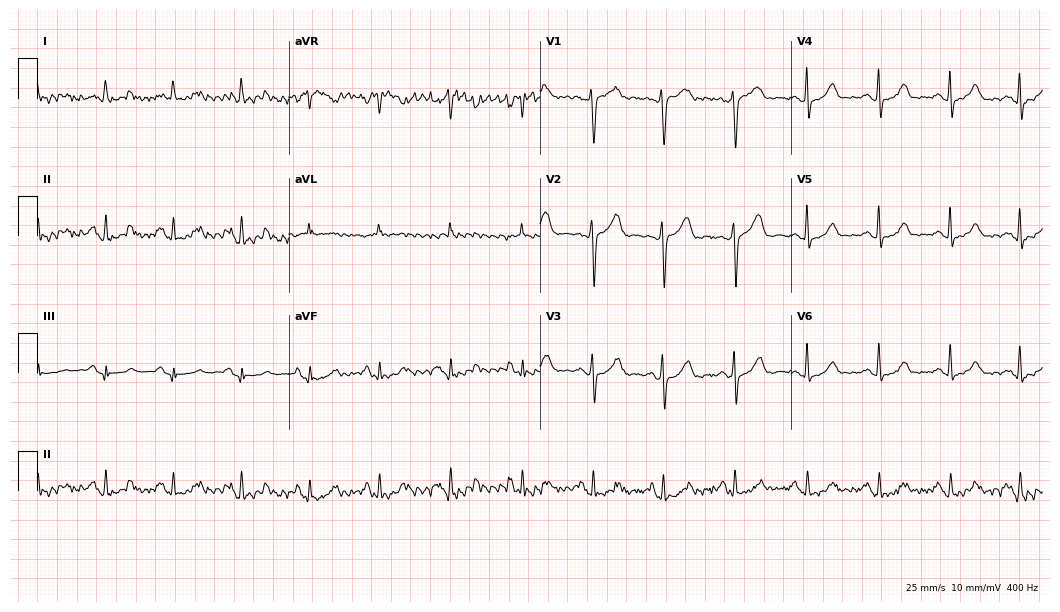
Standard 12-lead ECG recorded from a 47-year-old woman (10.2-second recording at 400 Hz). None of these six findings is recorded: first-degree AV block, right bundle branch block, left bundle branch block, sinus bradycardia, atrial fibrillation, sinus tachycardia.